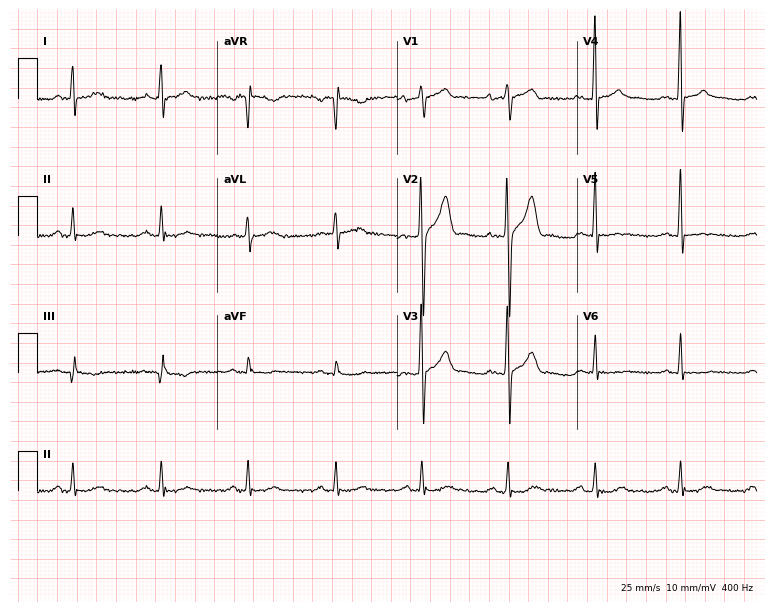
Standard 12-lead ECG recorded from a male, 47 years old. None of these six findings is recorded: first-degree AV block, right bundle branch block, left bundle branch block, sinus bradycardia, atrial fibrillation, sinus tachycardia. Only these six findings were labelled.